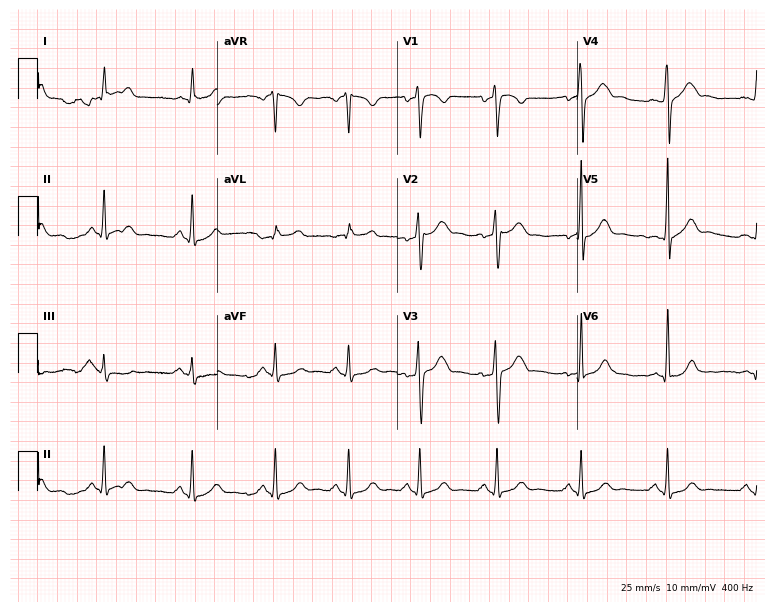
Electrocardiogram, a male, 37 years old. Overall reading on record: normal ECG.